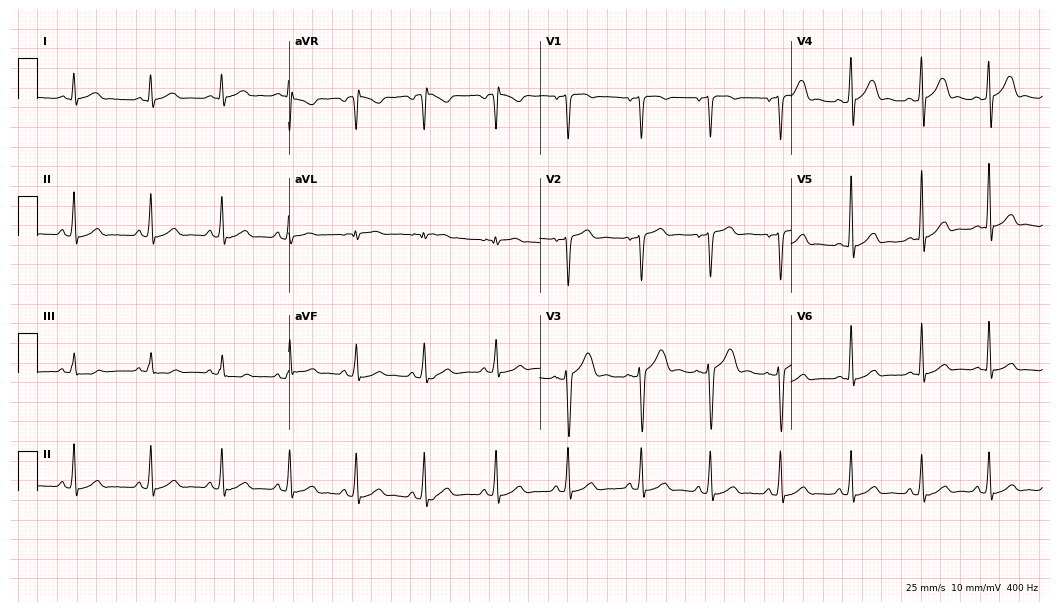
12-lead ECG from an 18-year-old male patient. No first-degree AV block, right bundle branch block (RBBB), left bundle branch block (LBBB), sinus bradycardia, atrial fibrillation (AF) or sinus tachycardia recorded for this tracing.